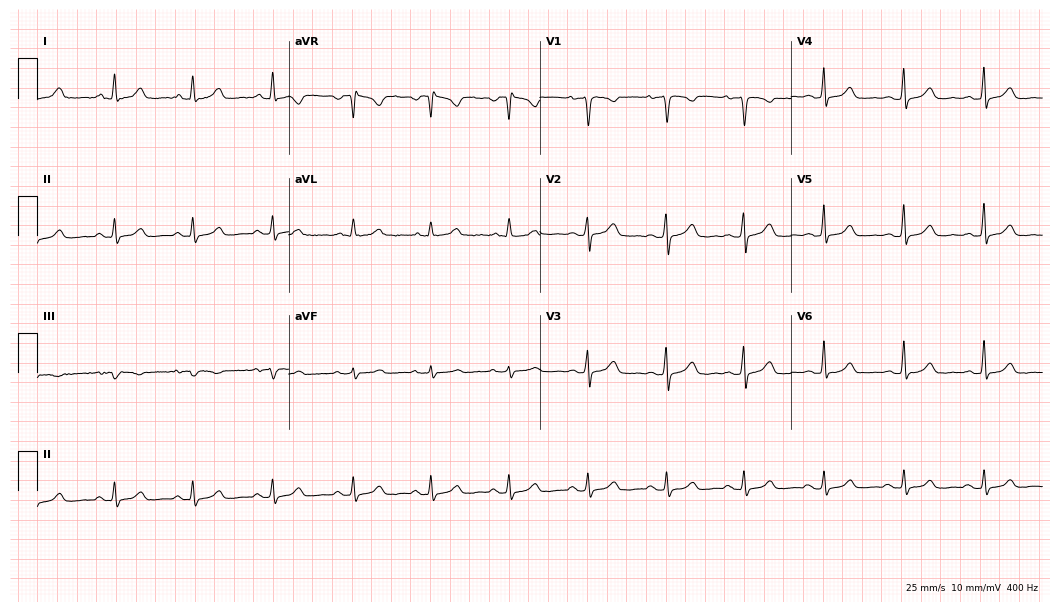
Standard 12-lead ECG recorded from a woman, 31 years old (10.2-second recording at 400 Hz). None of these six findings is recorded: first-degree AV block, right bundle branch block, left bundle branch block, sinus bradycardia, atrial fibrillation, sinus tachycardia.